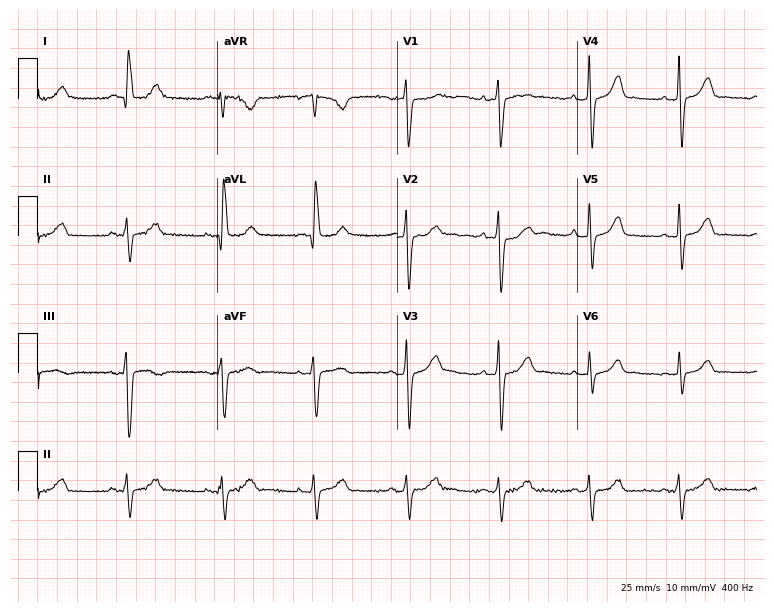
Electrocardiogram (7.3-second recording at 400 Hz), a female patient, 76 years old. Of the six screened findings (first-degree AV block, right bundle branch block (RBBB), left bundle branch block (LBBB), sinus bradycardia, atrial fibrillation (AF), sinus tachycardia), none is recorded.